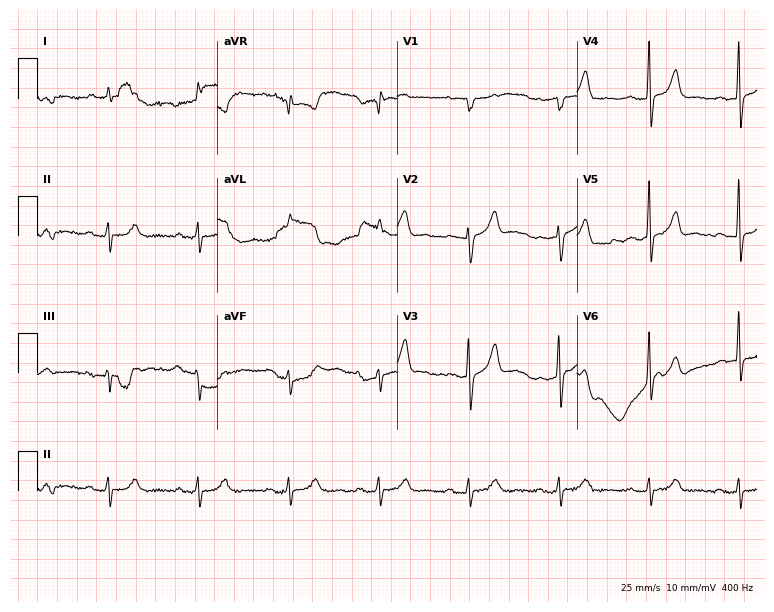
12-lead ECG (7.3-second recording at 400 Hz) from a 68-year-old male. Labelled as a normal ECG.